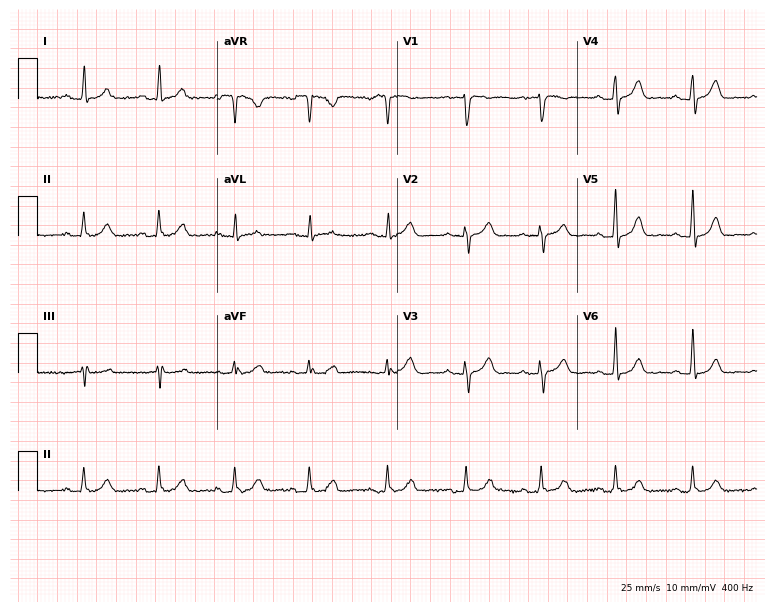
Electrocardiogram, a female patient, 34 years old. Overall reading on record: normal ECG.